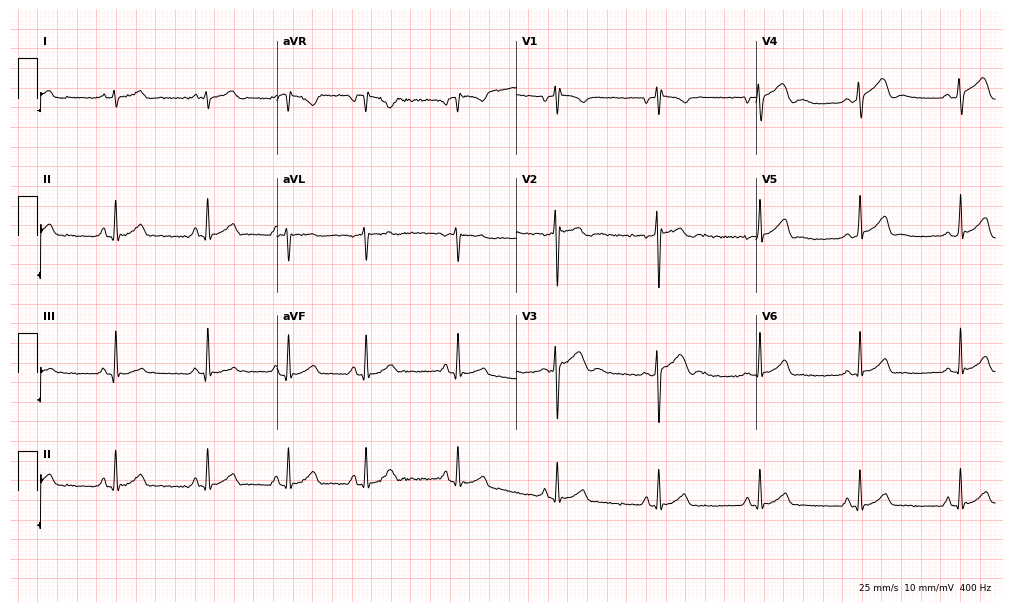
Standard 12-lead ECG recorded from a 19-year-old male. None of these six findings is recorded: first-degree AV block, right bundle branch block, left bundle branch block, sinus bradycardia, atrial fibrillation, sinus tachycardia.